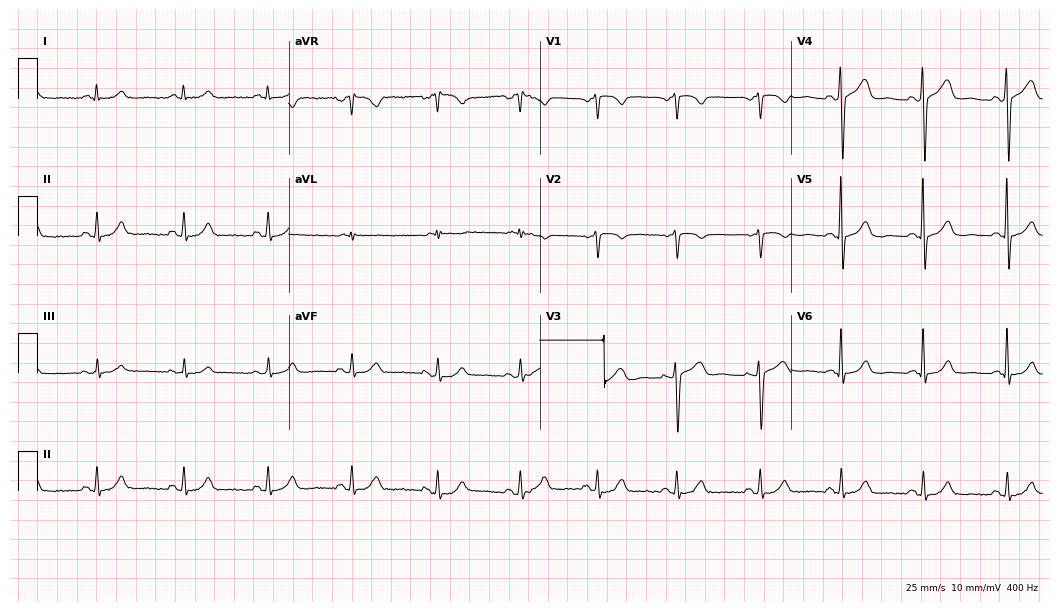
Electrocardiogram, a 55-year-old man. Of the six screened findings (first-degree AV block, right bundle branch block (RBBB), left bundle branch block (LBBB), sinus bradycardia, atrial fibrillation (AF), sinus tachycardia), none is recorded. Findings outside these six are not listed.